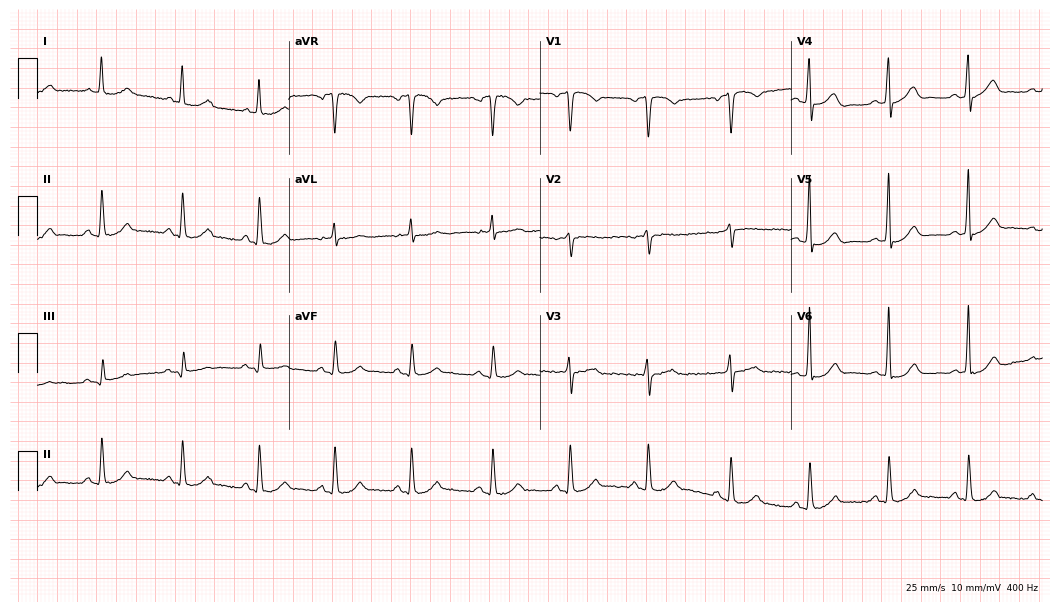
Electrocardiogram (10.2-second recording at 400 Hz), a 69-year-old male patient. Of the six screened findings (first-degree AV block, right bundle branch block (RBBB), left bundle branch block (LBBB), sinus bradycardia, atrial fibrillation (AF), sinus tachycardia), none is recorded.